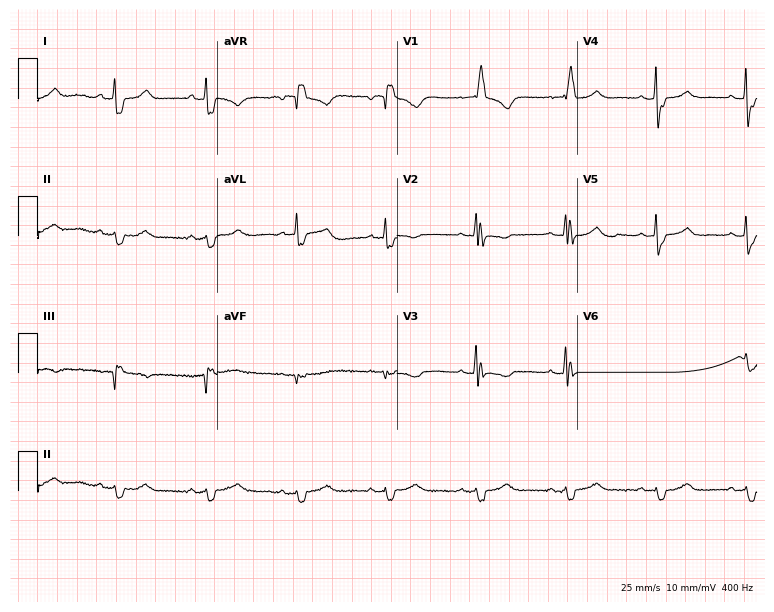
Standard 12-lead ECG recorded from a 71-year-old female. The tracing shows right bundle branch block (RBBB).